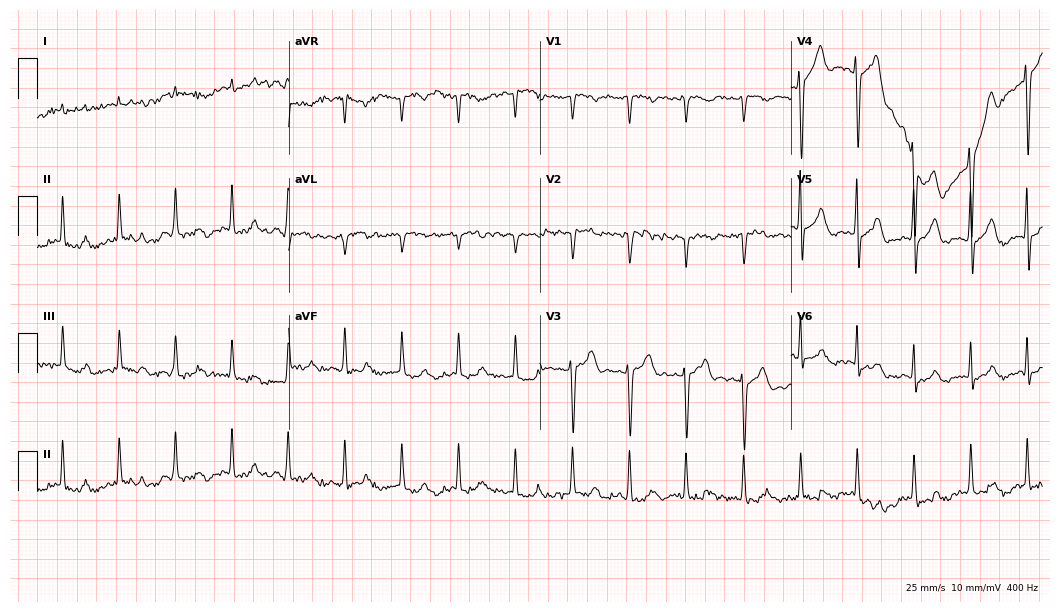
12-lead ECG from a man, 49 years old. Screened for six findings — first-degree AV block, right bundle branch block, left bundle branch block, sinus bradycardia, atrial fibrillation, sinus tachycardia — none is recorded. Findings outside these six are not listed.